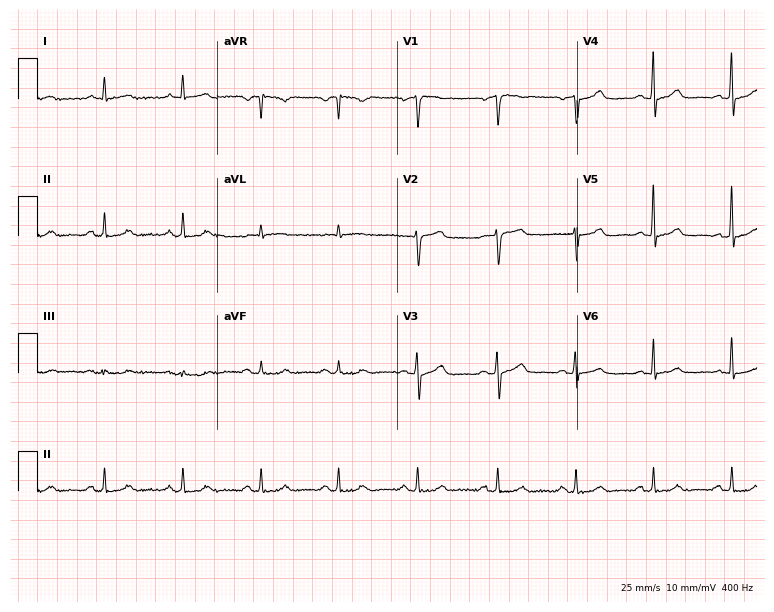
Resting 12-lead electrocardiogram (7.3-second recording at 400 Hz). Patient: a male, 57 years old. None of these six findings is recorded: first-degree AV block, right bundle branch block (RBBB), left bundle branch block (LBBB), sinus bradycardia, atrial fibrillation (AF), sinus tachycardia.